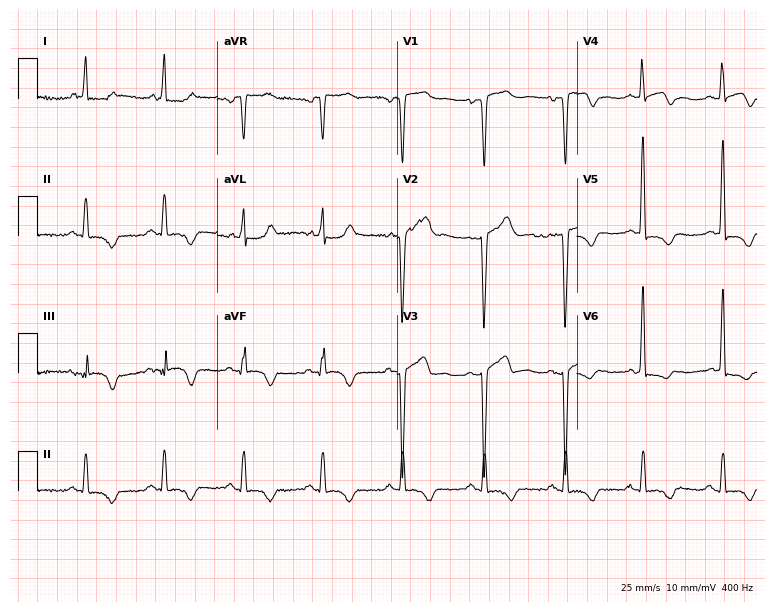
Electrocardiogram, a female, 71 years old. Of the six screened findings (first-degree AV block, right bundle branch block, left bundle branch block, sinus bradycardia, atrial fibrillation, sinus tachycardia), none is recorded.